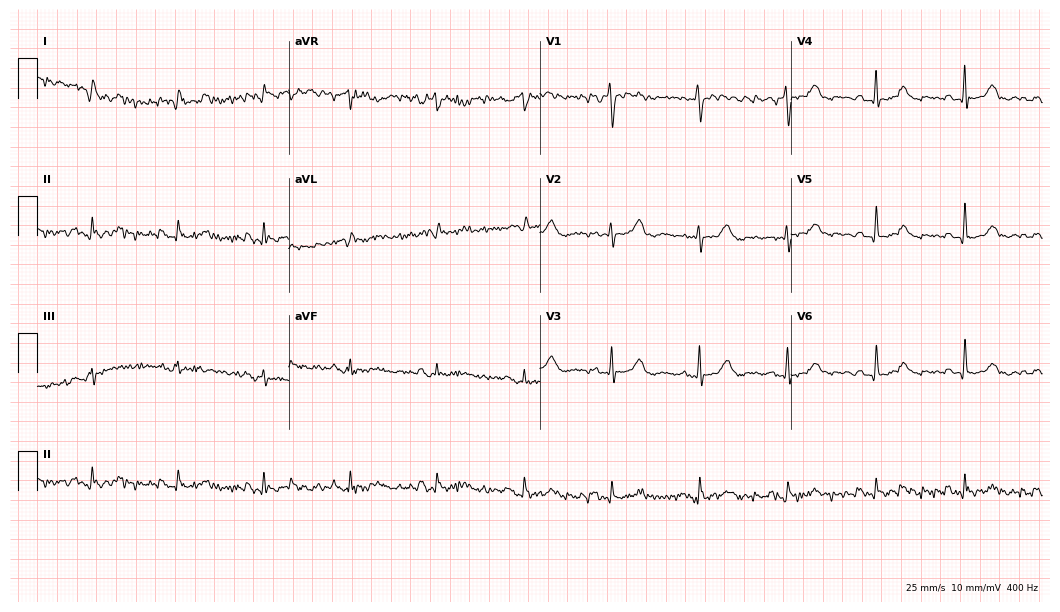
12-lead ECG from a 76-year-old woman (10.2-second recording at 400 Hz). No first-degree AV block, right bundle branch block (RBBB), left bundle branch block (LBBB), sinus bradycardia, atrial fibrillation (AF) or sinus tachycardia recorded for this tracing.